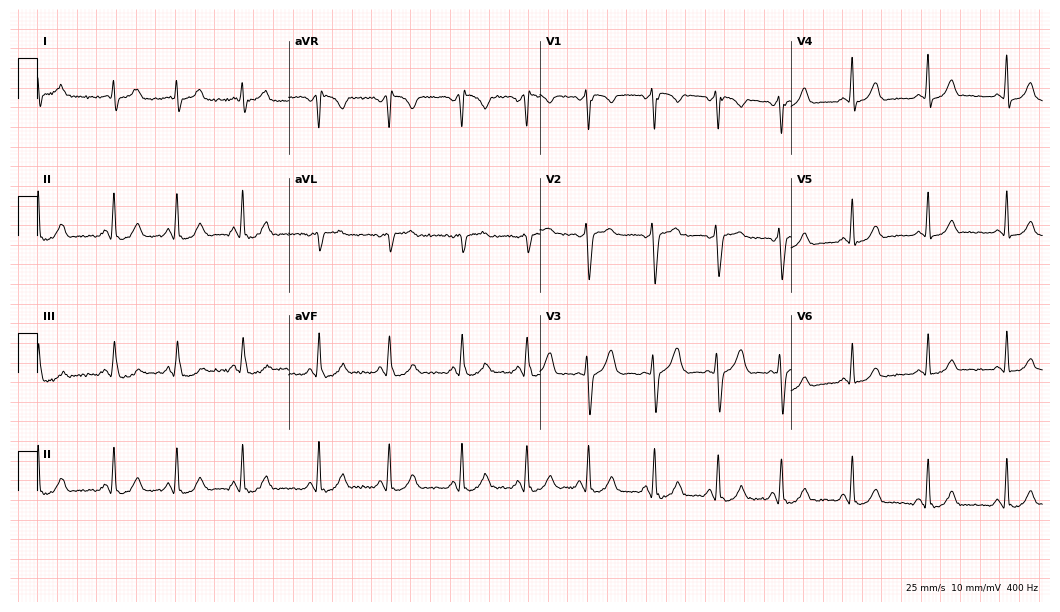
12-lead ECG from a female patient, 18 years old (10.2-second recording at 400 Hz). No first-degree AV block, right bundle branch block (RBBB), left bundle branch block (LBBB), sinus bradycardia, atrial fibrillation (AF) or sinus tachycardia recorded for this tracing. Findings outside these six are not listed.